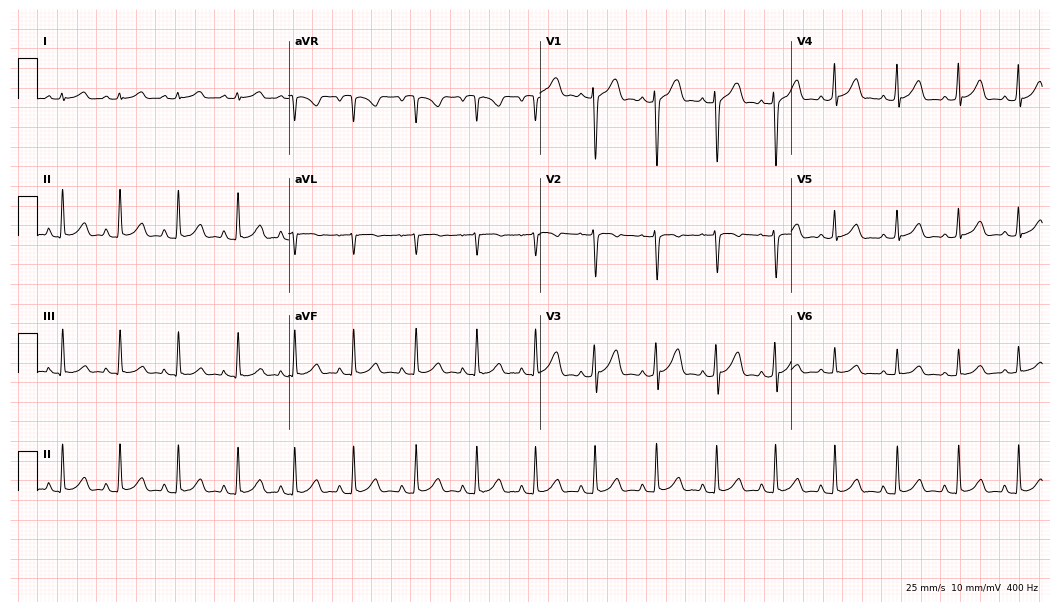
12-lead ECG from a woman, 18 years old. No first-degree AV block, right bundle branch block, left bundle branch block, sinus bradycardia, atrial fibrillation or sinus tachycardia recorded for this tracing. Findings outside these six are not listed.